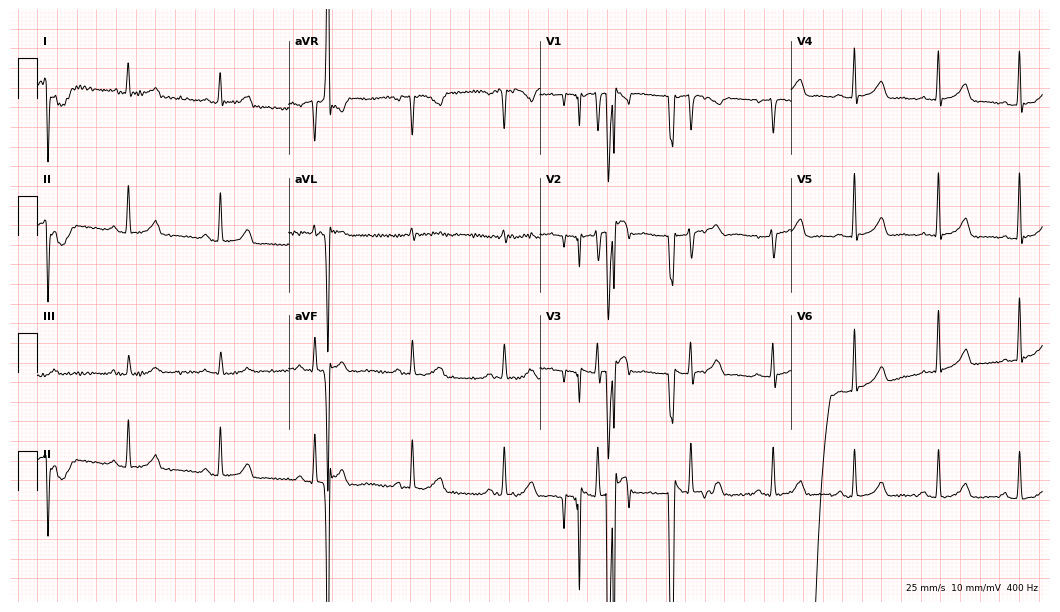
Electrocardiogram (10.2-second recording at 400 Hz), a 34-year-old woman. Of the six screened findings (first-degree AV block, right bundle branch block (RBBB), left bundle branch block (LBBB), sinus bradycardia, atrial fibrillation (AF), sinus tachycardia), none is recorded. Findings outside these six are not listed.